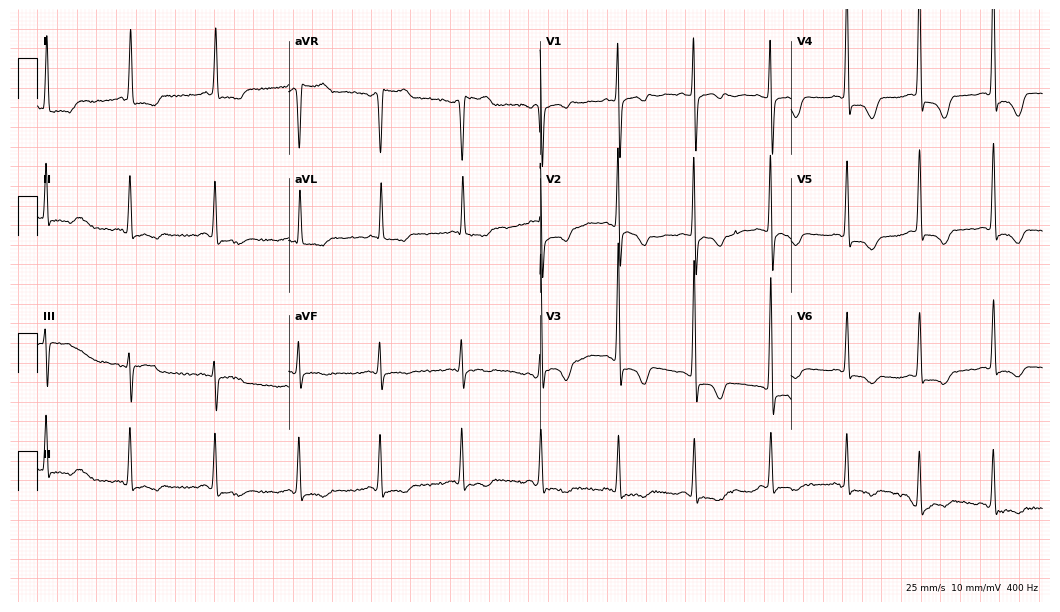
12-lead ECG from a woman, 76 years old. Recorded interpretation: within normal limits.